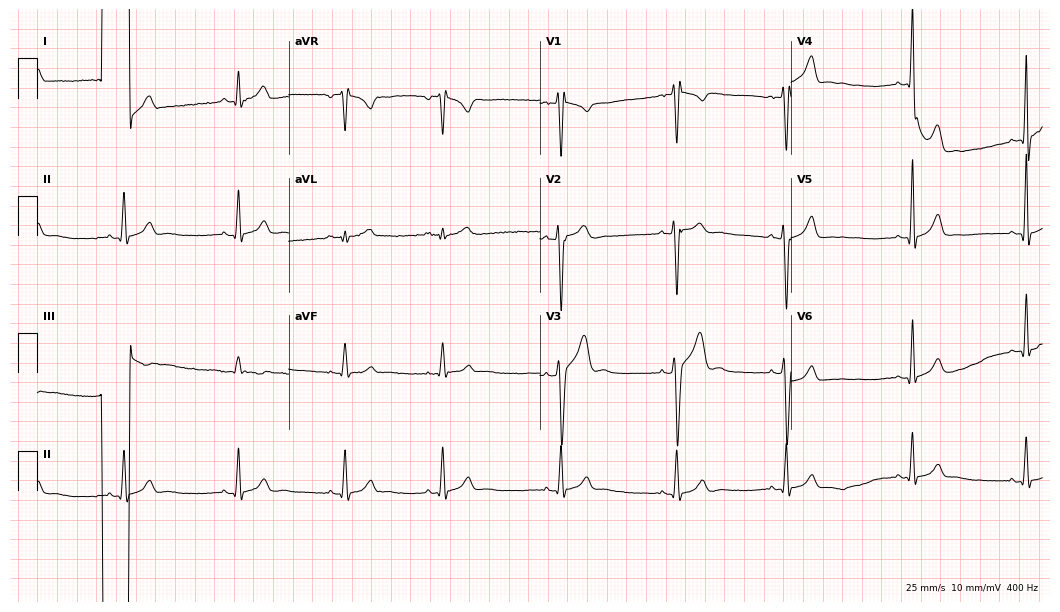
ECG — a 17-year-old man. Screened for six findings — first-degree AV block, right bundle branch block, left bundle branch block, sinus bradycardia, atrial fibrillation, sinus tachycardia — none is recorded. Findings outside these six are not listed.